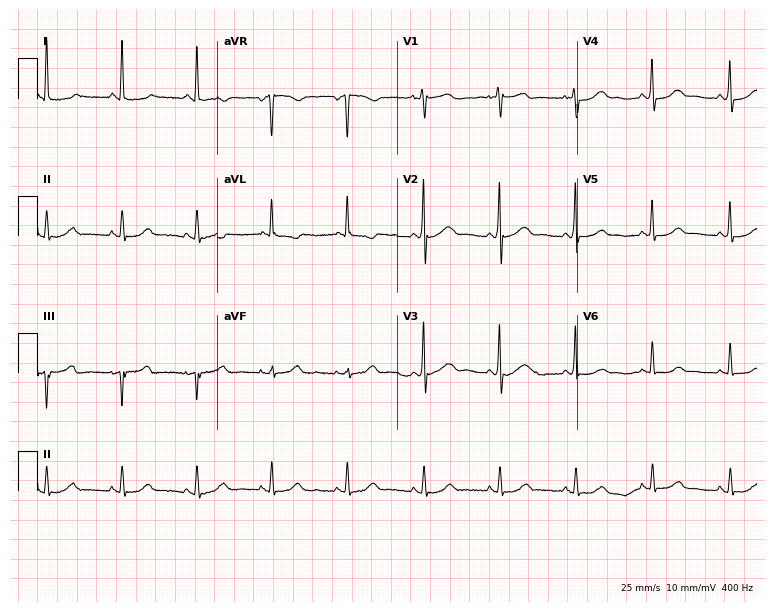
12-lead ECG (7.3-second recording at 400 Hz) from a woman, 69 years old. Labelled as a normal ECG.